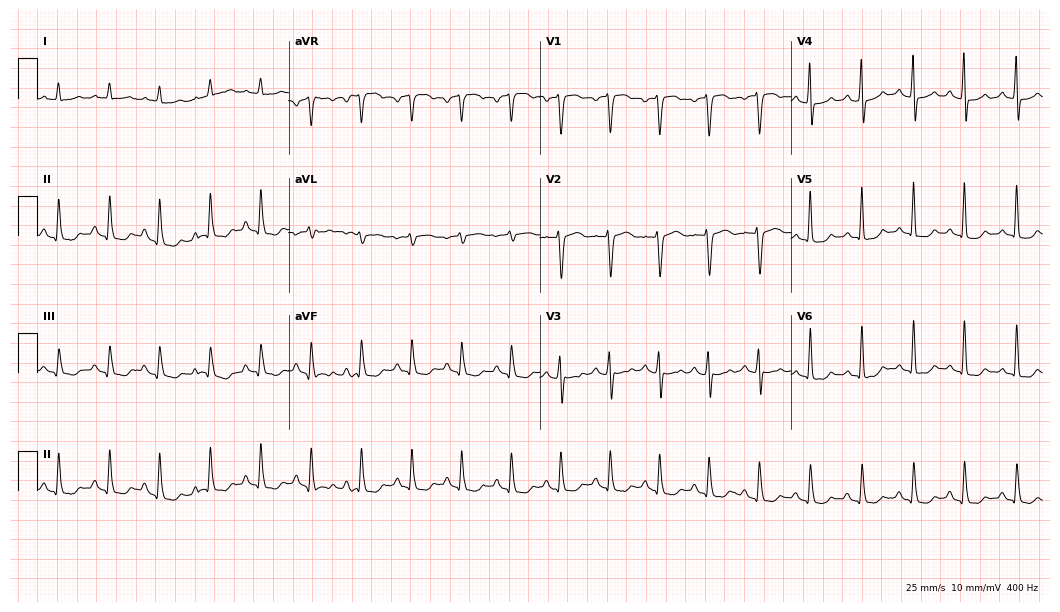
Standard 12-lead ECG recorded from a 63-year-old woman. The tracing shows sinus tachycardia (a sinus rate of 100 beats per minute or more).